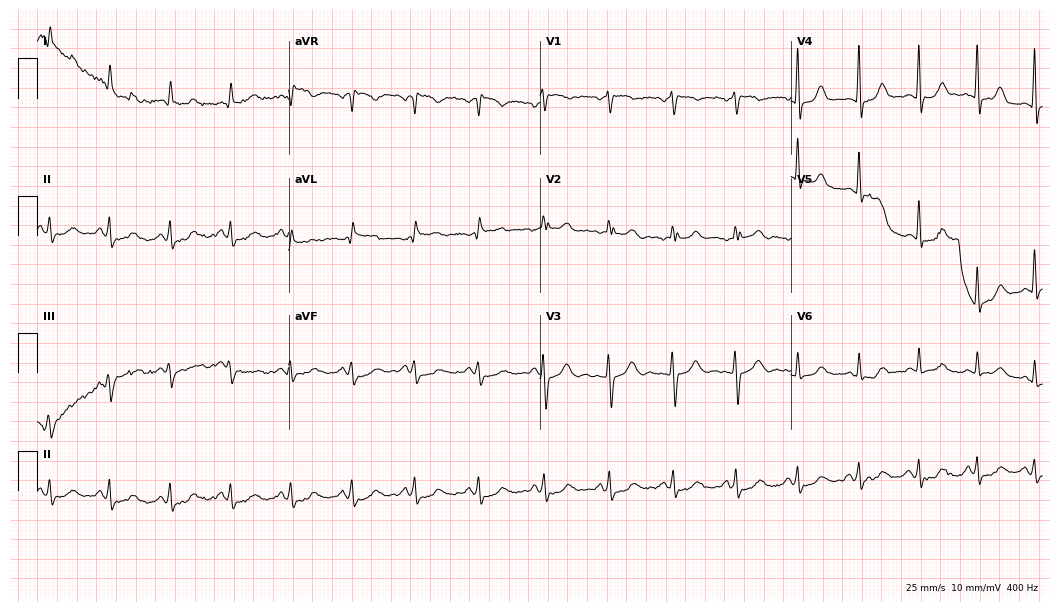
Electrocardiogram, a female, 44 years old. Of the six screened findings (first-degree AV block, right bundle branch block (RBBB), left bundle branch block (LBBB), sinus bradycardia, atrial fibrillation (AF), sinus tachycardia), none is recorded. Only these six findings were labelled.